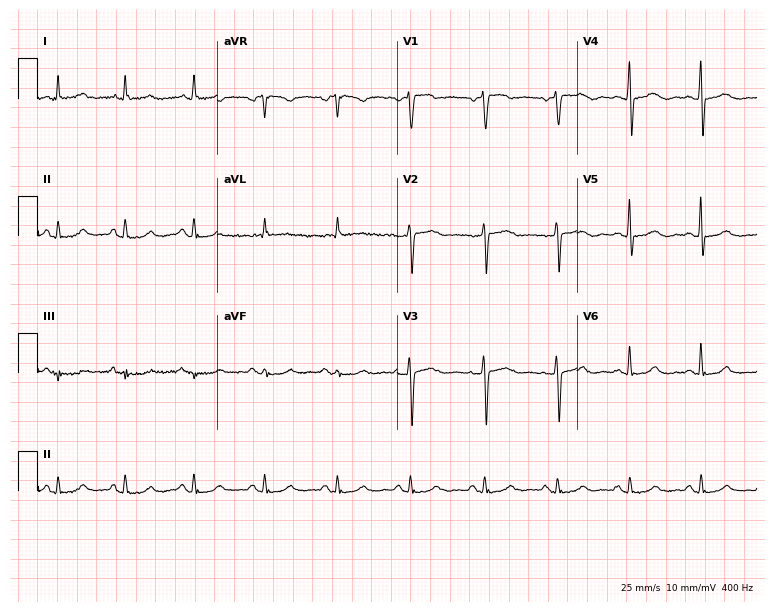
Electrocardiogram (7.3-second recording at 400 Hz), a 75-year-old male. Overall reading on record: normal ECG.